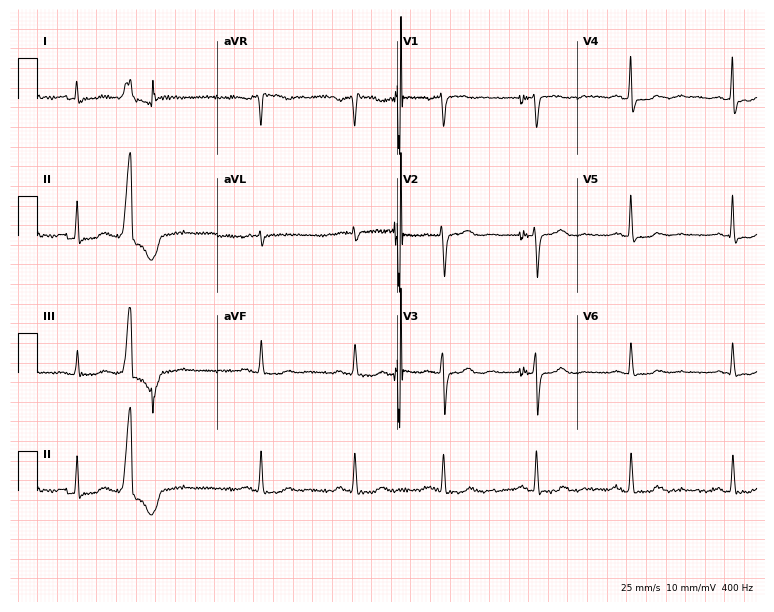
ECG — a 73-year-old man. Labelled as a normal ECG.